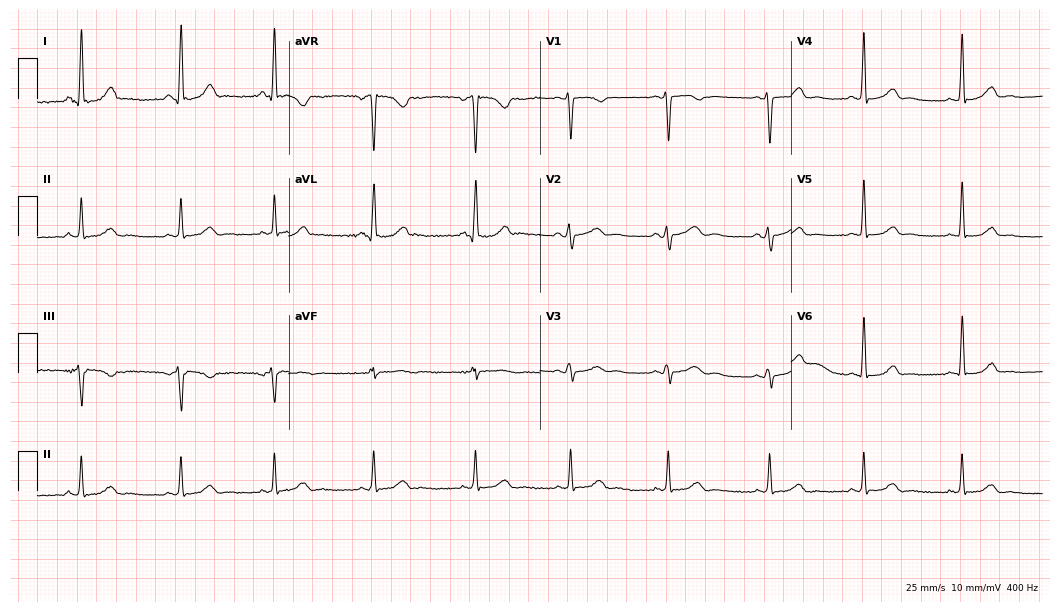
Standard 12-lead ECG recorded from a 40-year-old female. Read as a normal ECG.